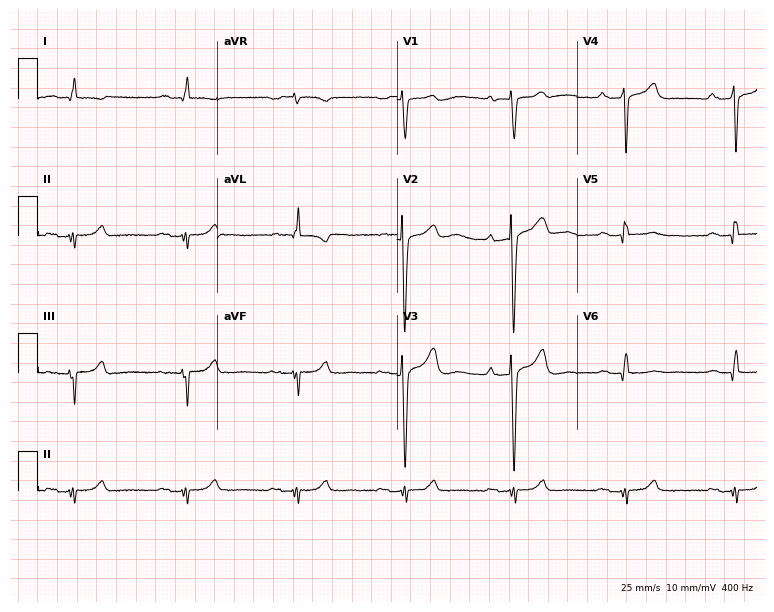
Standard 12-lead ECG recorded from a 76-year-old male. None of these six findings is recorded: first-degree AV block, right bundle branch block, left bundle branch block, sinus bradycardia, atrial fibrillation, sinus tachycardia.